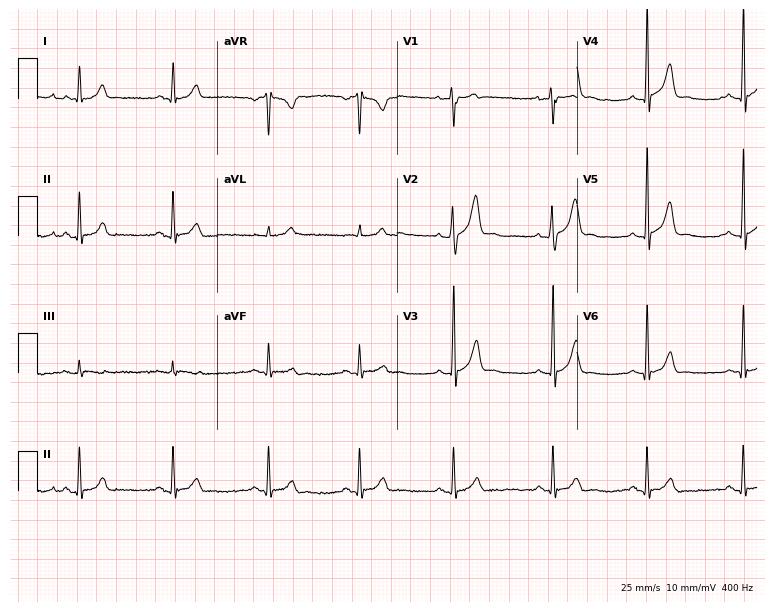
ECG (7.3-second recording at 400 Hz) — a 29-year-old male. Screened for six findings — first-degree AV block, right bundle branch block, left bundle branch block, sinus bradycardia, atrial fibrillation, sinus tachycardia — none is recorded. Findings outside these six are not listed.